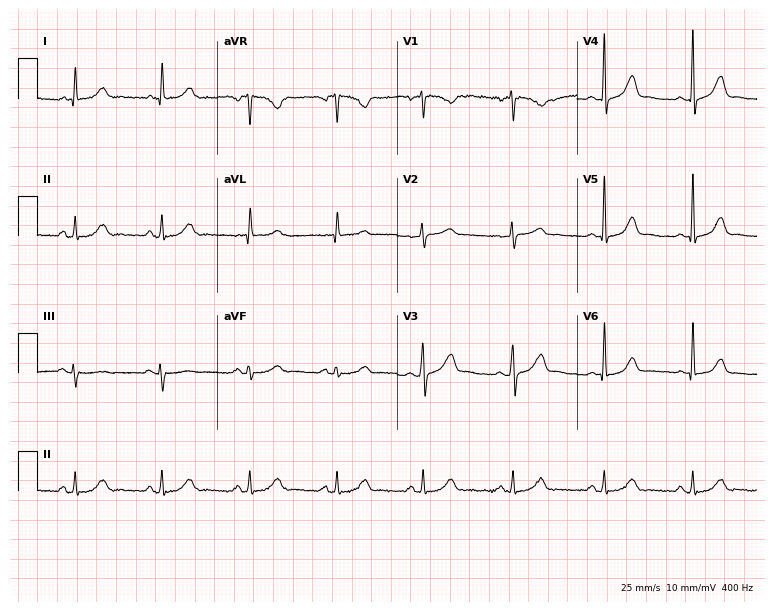
Standard 12-lead ECG recorded from a female, 56 years old. Read as a normal ECG.